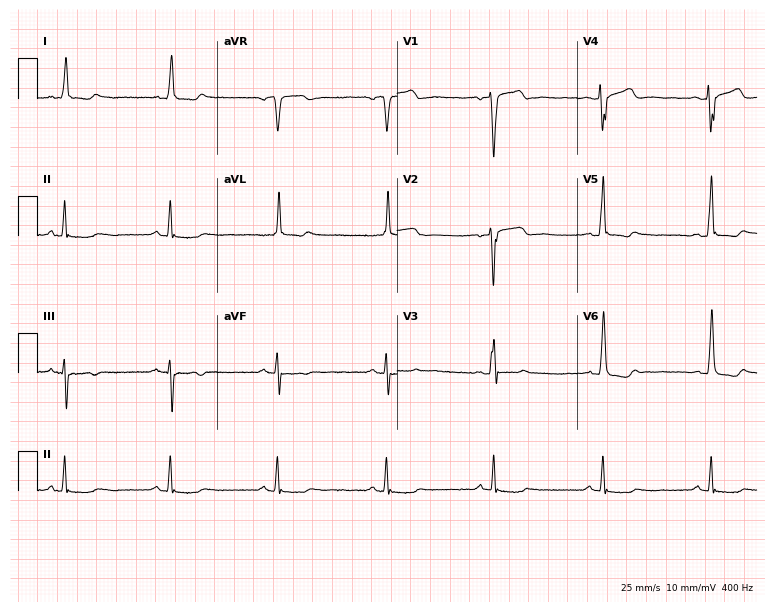
12-lead ECG (7.3-second recording at 400 Hz) from a 74-year-old man. Screened for six findings — first-degree AV block, right bundle branch block, left bundle branch block, sinus bradycardia, atrial fibrillation, sinus tachycardia — none is recorded. Findings outside these six are not listed.